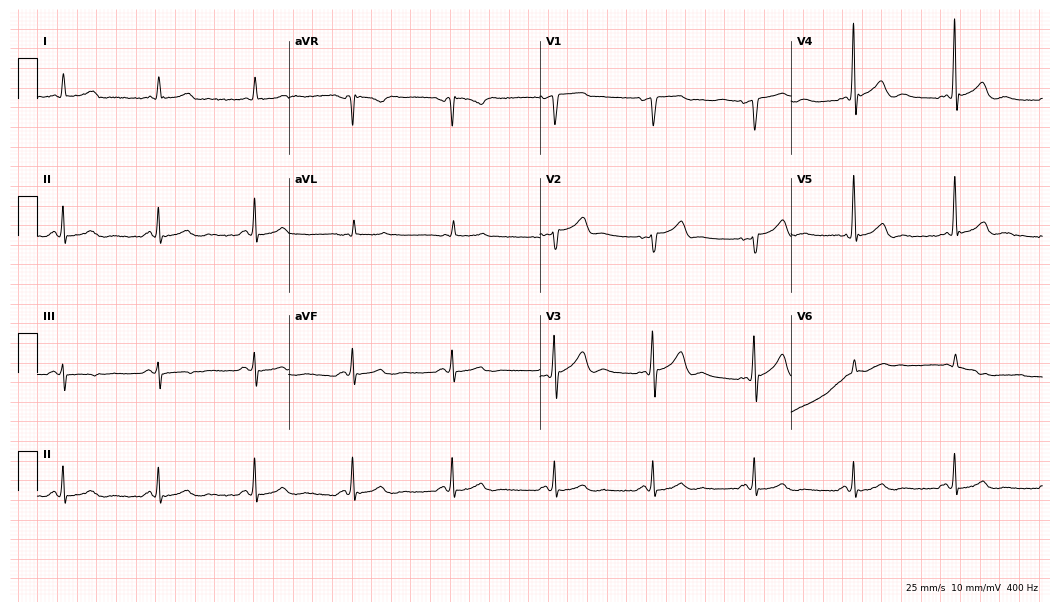
Resting 12-lead electrocardiogram (10.2-second recording at 400 Hz). Patient: a male, 62 years old. Read as a normal ECG.